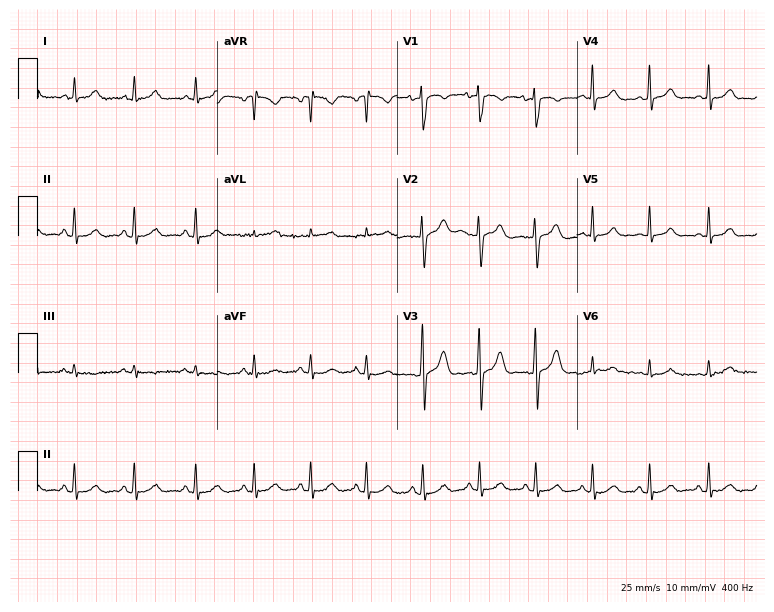
Standard 12-lead ECG recorded from a woman, 32 years old. The tracing shows sinus tachycardia (a sinus rate of 100 beats per minute or more).